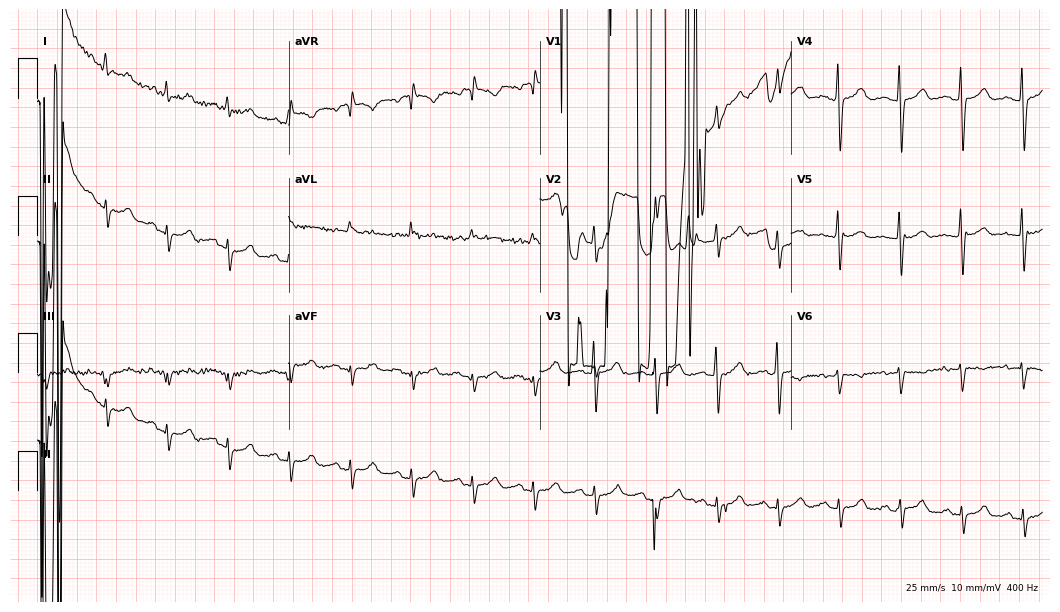
Electrocardiogram, a 63-year-old female patient. Of the six screened findings (first-degree AV block, right bundle branch block, left bundle branch block, sinus bradycardia, atrial fibrillation, sinus tachycardia), none is recorded.